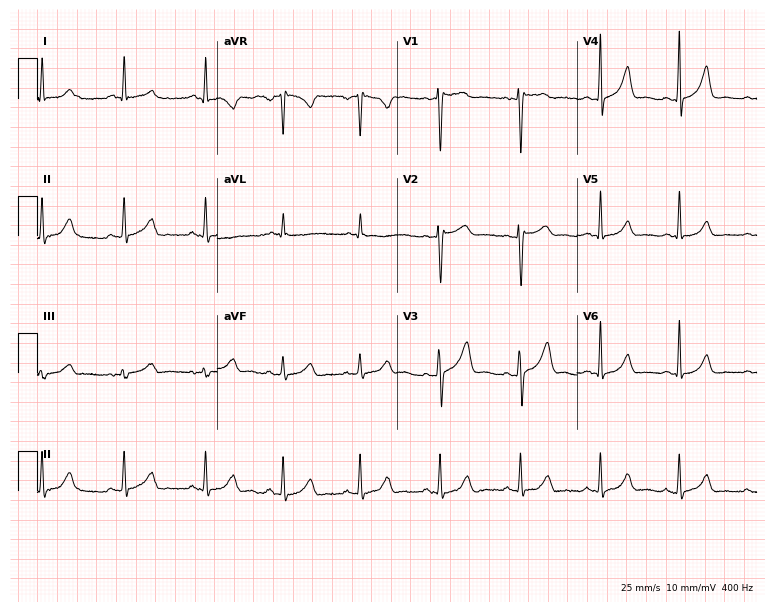
12-lead ECG from a female, 43 years old. Labelled as a normal ECG.